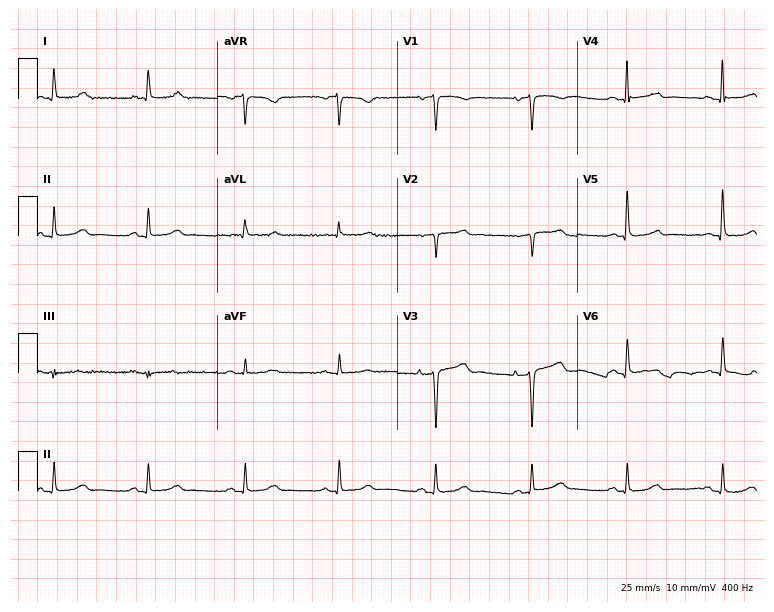
Resting 12-lead electrocardiogram. Patient: a female, 83 years old. Read as a normal ECG.